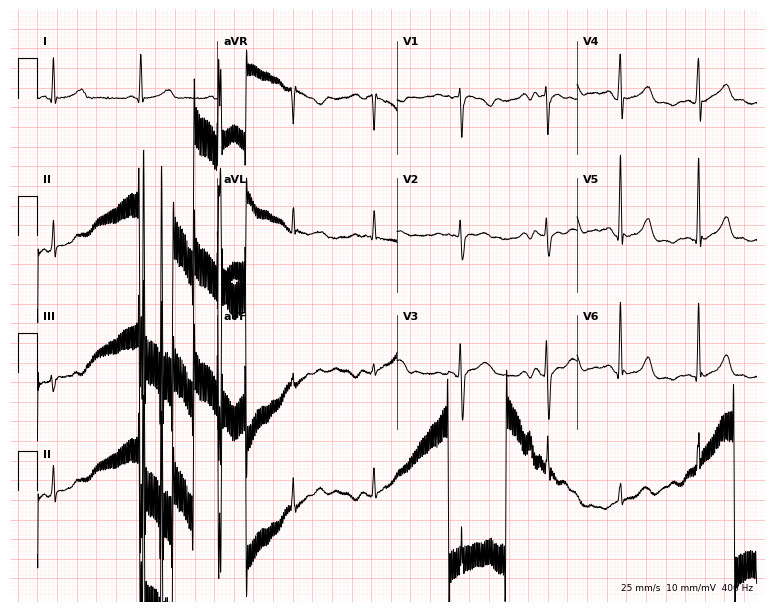
12-lead ECG from a 22-year-old woman. Screened for six findings — first-degree AV block, right bundle branch block, left bundle branch block, sinus bradycardia, atrial fibrillation, sinus tachycardia — none is recorded. Other findings, if any, are not listed.